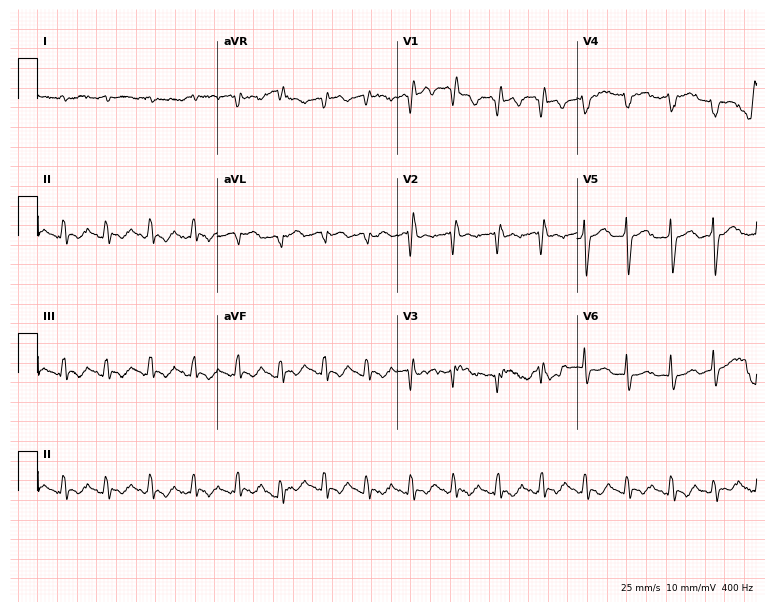
Electrocardiogram (7.3-second recording at 400 Hz), a 77-year-old male patient. Of the six screened findings (first-degree AV block, right bundle branch block (RBBB), left bundle branch block (LBBB), sinus bradycardia, atrial fibrillation (AF), sinus tachycardia), none is recorded.